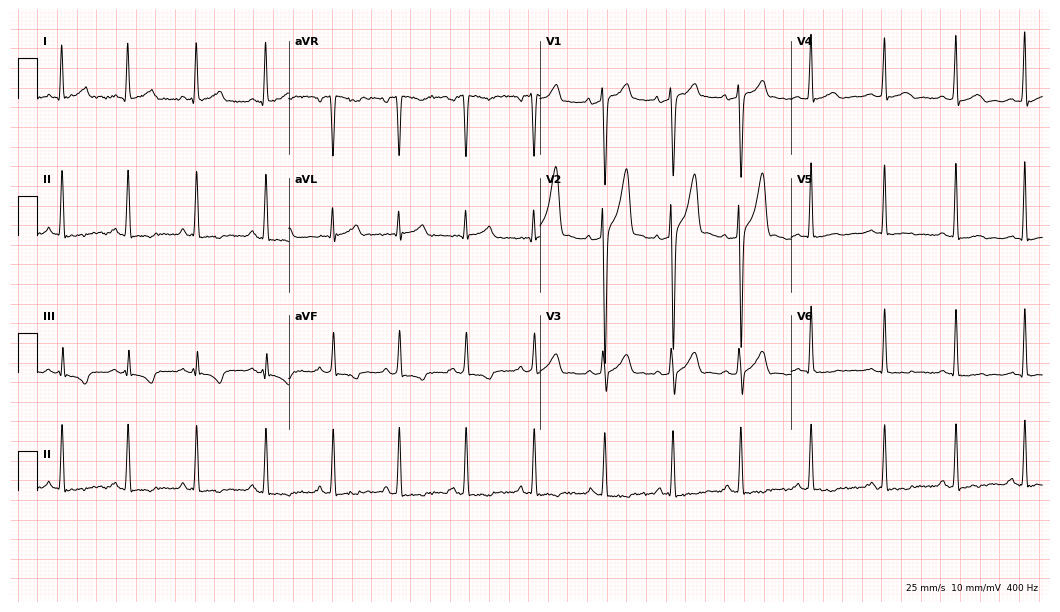
12-lead ECG from a 33-year-old male patient. No first-degree AV block, right bundle branch block (RBBB), left bundle branch block (LBBB), sinus bradycardia, atrial fibrillation (AF) or sinus tachycardia recorded for this tracing. Only these six findings were labelled.